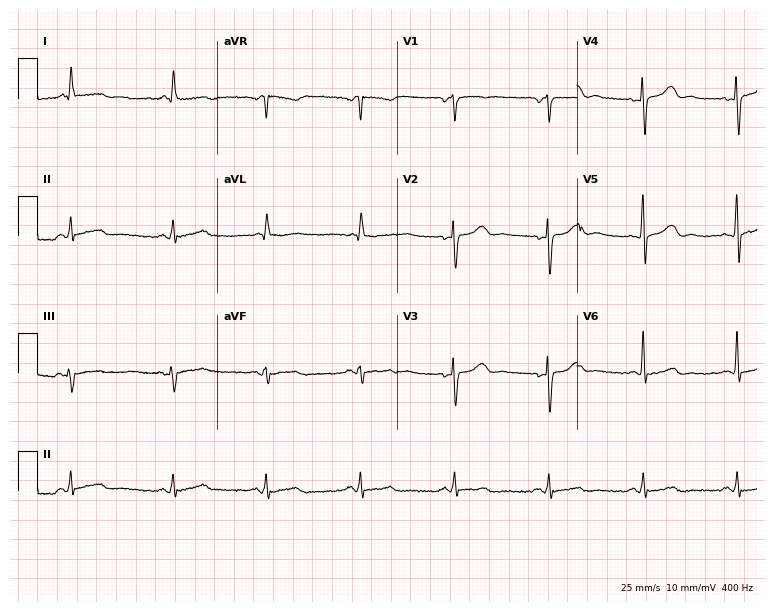
ECG — a 56-year-old female patient. Labelled as a normal ECG.